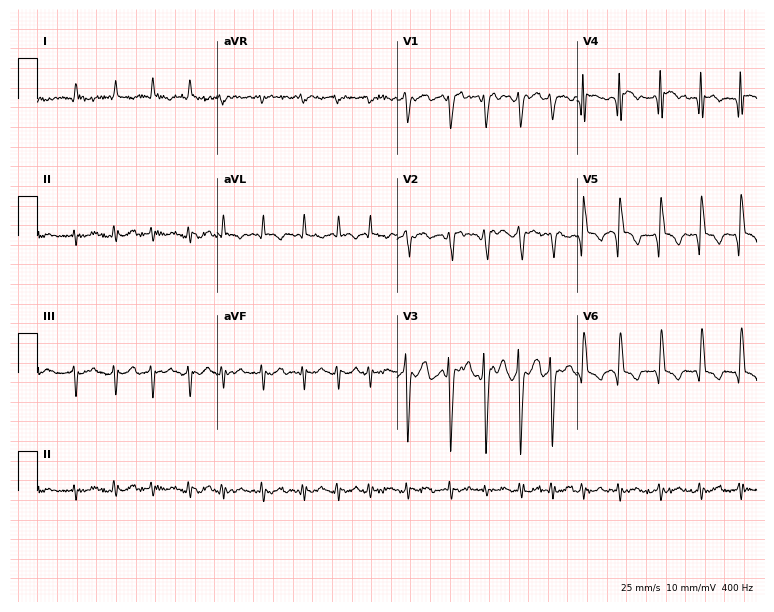
ECG — a male, 63 years old. Findings include atrial fibrillation (AF).